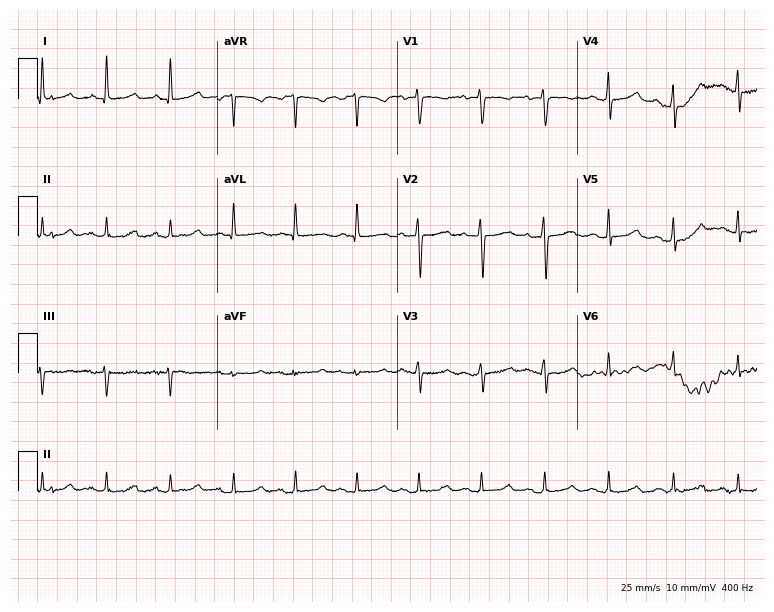
ECG (7.3-second recording at 400 Hz) — a 55-year-old female patient. Screened for six findings — first-degree AV block, right bundle branch block (RBBB), left bundle branch block (LBBB), sinus bradycardia, atrial fibrillation (AF), sinus tachycardia — none is recorded.